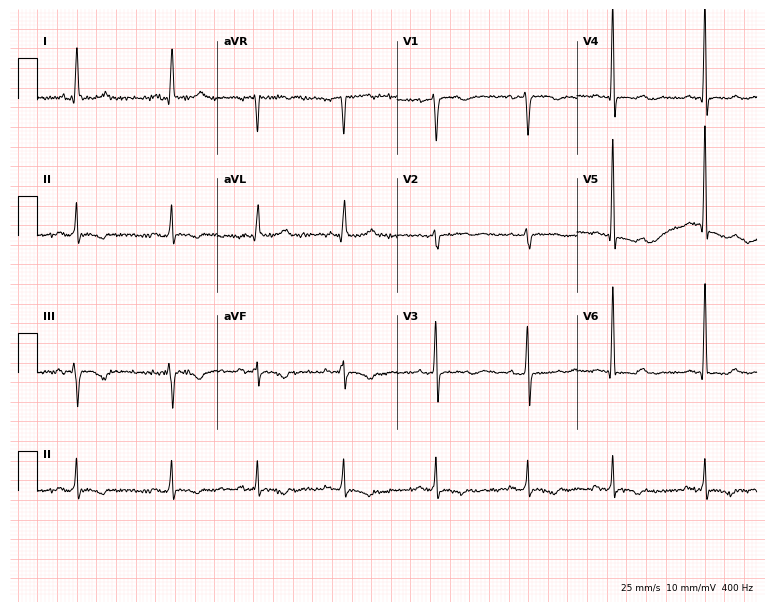
12-lead ECG from a female, 39 years old. No first-degree AV block, right bundle branch block, left bundle branch block, sinus bradycardia, atrial fibrillation or sinus tachycardia recorded for this tracing. Only these six findings were labelled.